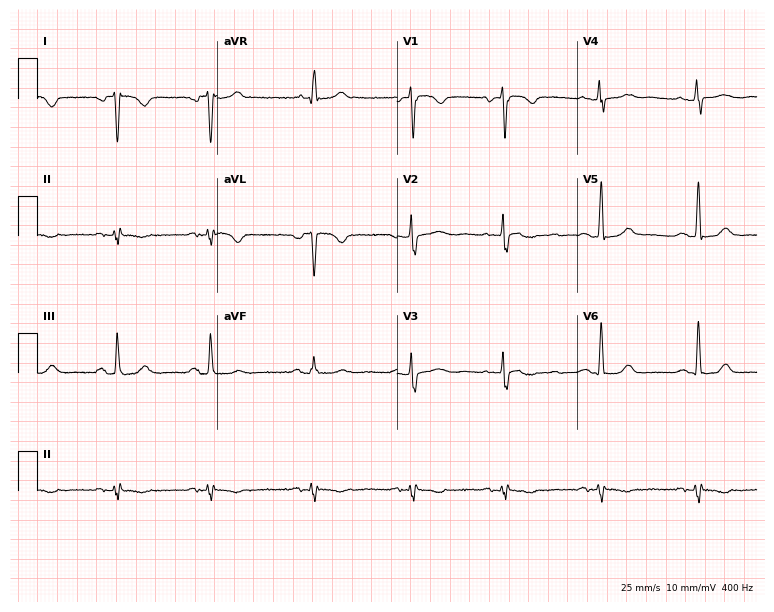
Standard 12-lead ECG recorded from a woman, 55 years old (7.3-second recording at 400 Hz). None of these six findings is recorded: first-degree AV block, right bundle branch block, left bundle branch block, sinus bradycardia, atrial fibrillation, sinus tachycardia. Findings outside these six are not listed.